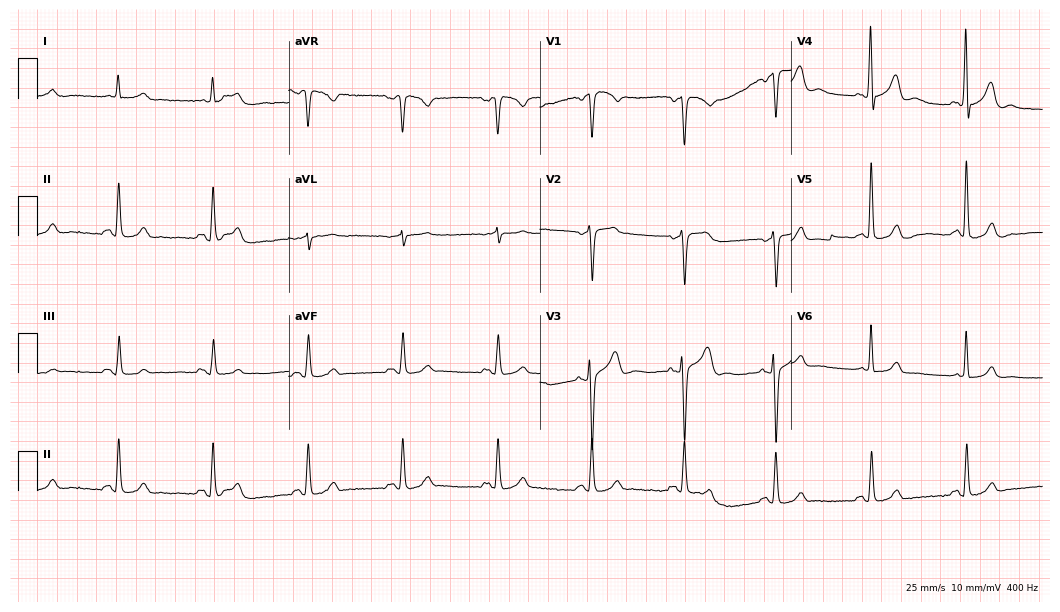
ECG (10.2-second recording at 400 Hz) — an 81-year-old man. Labelled as a normal ECG.